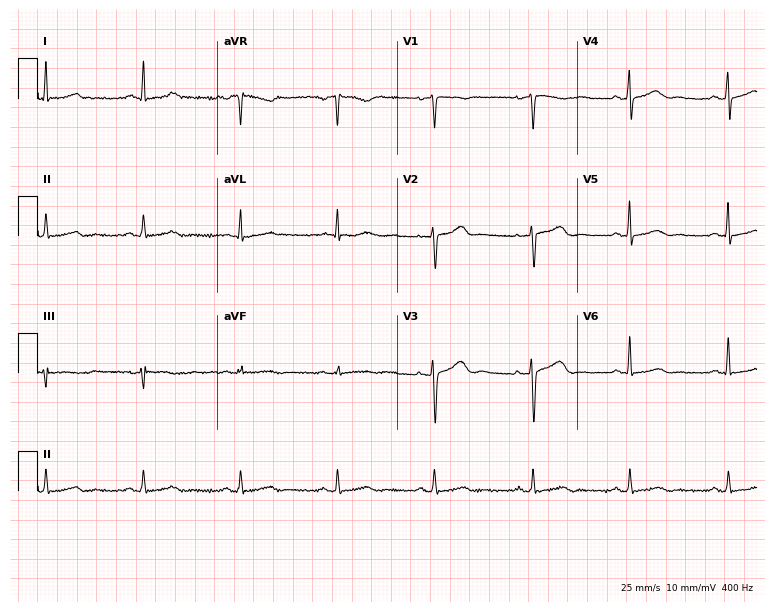
12-lead ECG (7.3-second recording at 400 Hz) from a female, 30 years old. Labelled as a normal ECG.